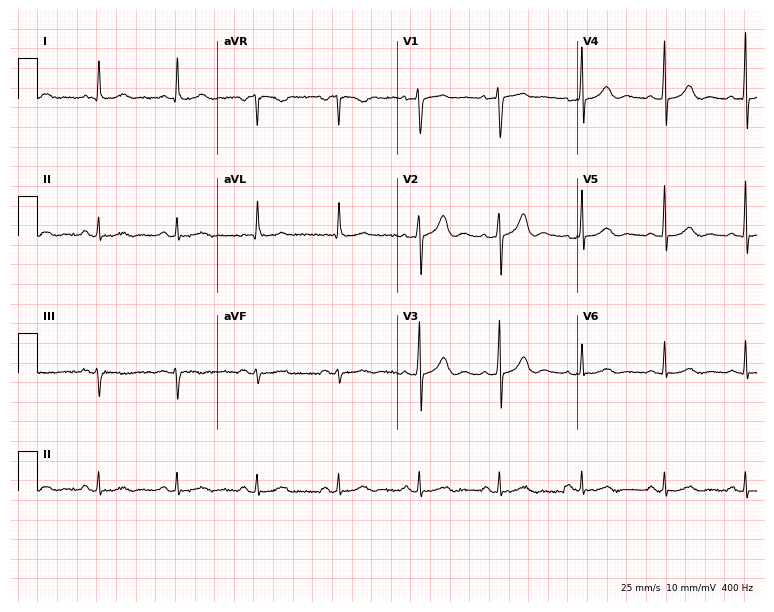
Electrocardiogram, a 50-year-old female. Overall reading on record: normal ECG.